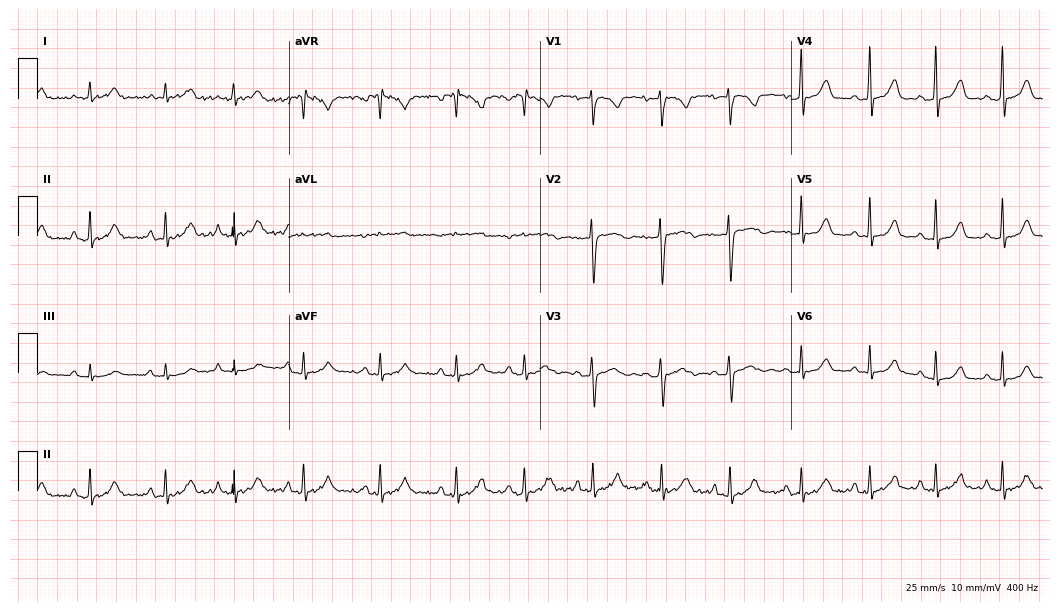
12-lead ECG from a female patient, 23 years old. Screened for six findings — first-degree AV block, right bundle branch block, left bundle branch block, sinus bradycardia, atrial fibrillation, sinus tachycardia — none is recorded.